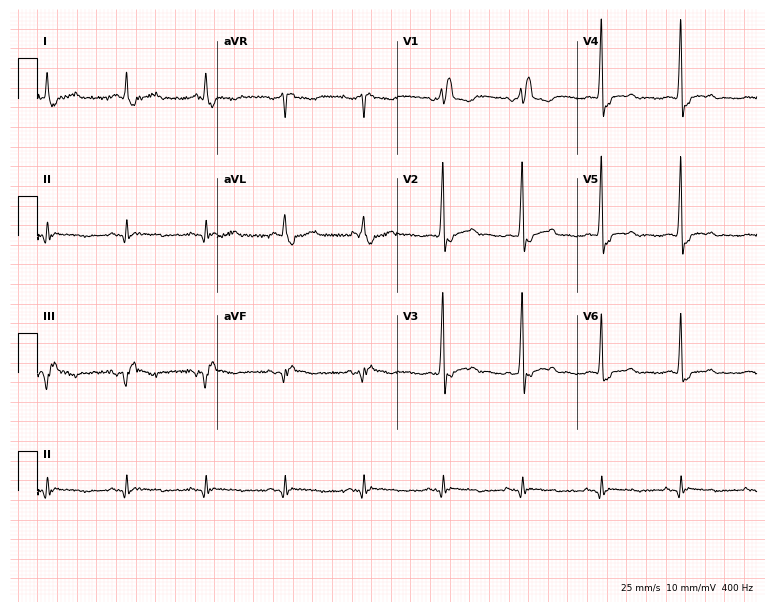
Standard 12-lead ECG recorded from a 77-year-old female patient. The tracing shows right bundle branch block.